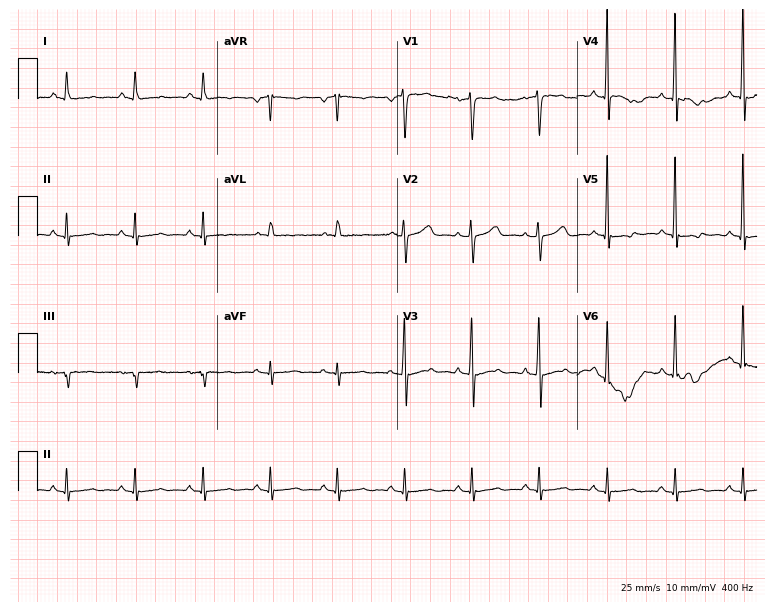
12-lead ECG from a 65-year-old male. Screened for six findings — first-degree AV block, right bundle branch block, left bundle branch block, sinus bradycardia, atrial fibrillation, sinus tachycardia — none is recorded. Findings outside these six are not listed.